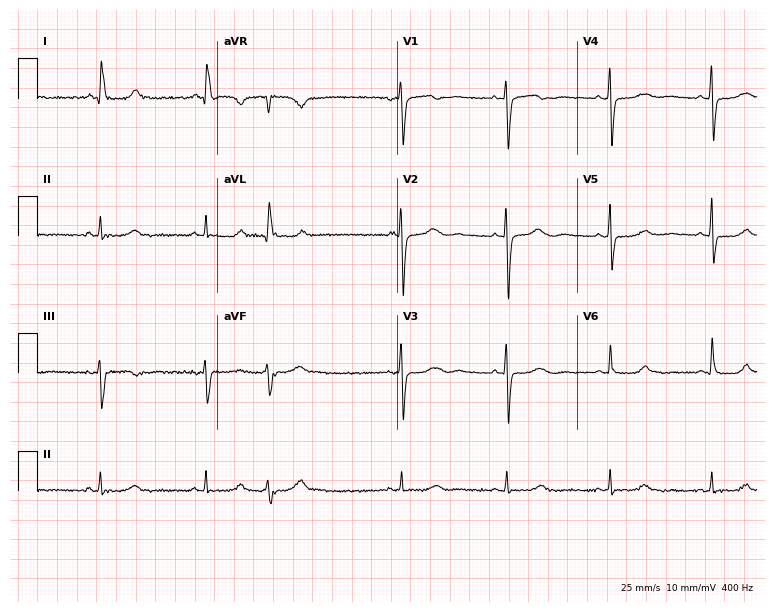
Resting 12-lead electrocardiogram. Patient: a female, 71 years old. None of these six findings is recorded: first-degree AV block, right bundle branch block, left bundle branch block, sinus bradycardia, atrial fibrillation, sinus tachycardia.